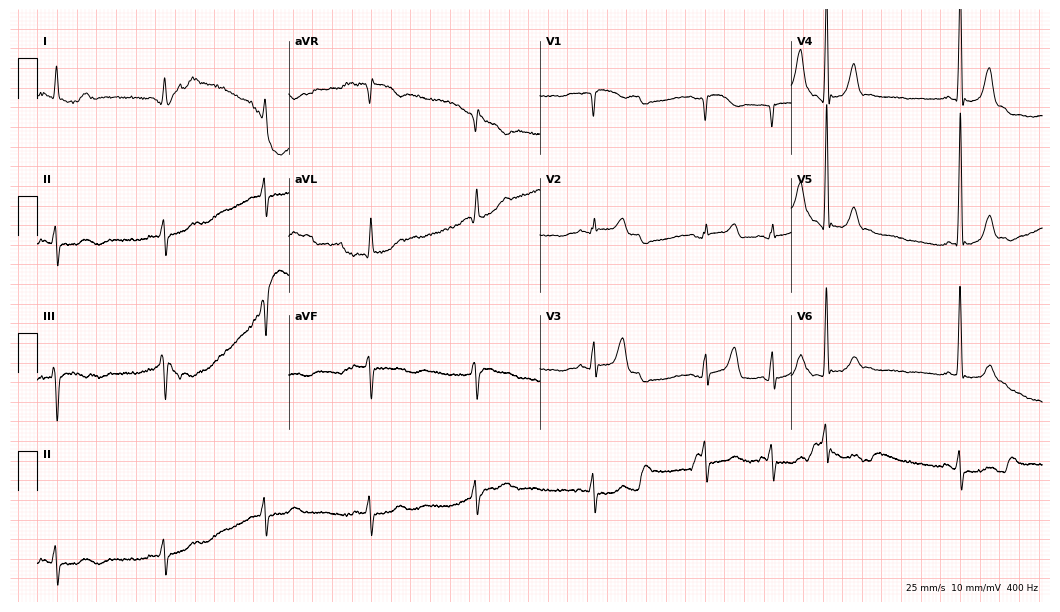
Standard 12-lead ECG recorded from a 73-year-old man (10.2-second recording at 400 Hz). None of these six findings is recorded: first-degree AV block, right bundle branch block (RBBB), left bundle branch block (LBBB), sinus bradycardia, atrial fibrillation (AF), sinus tachycardia.